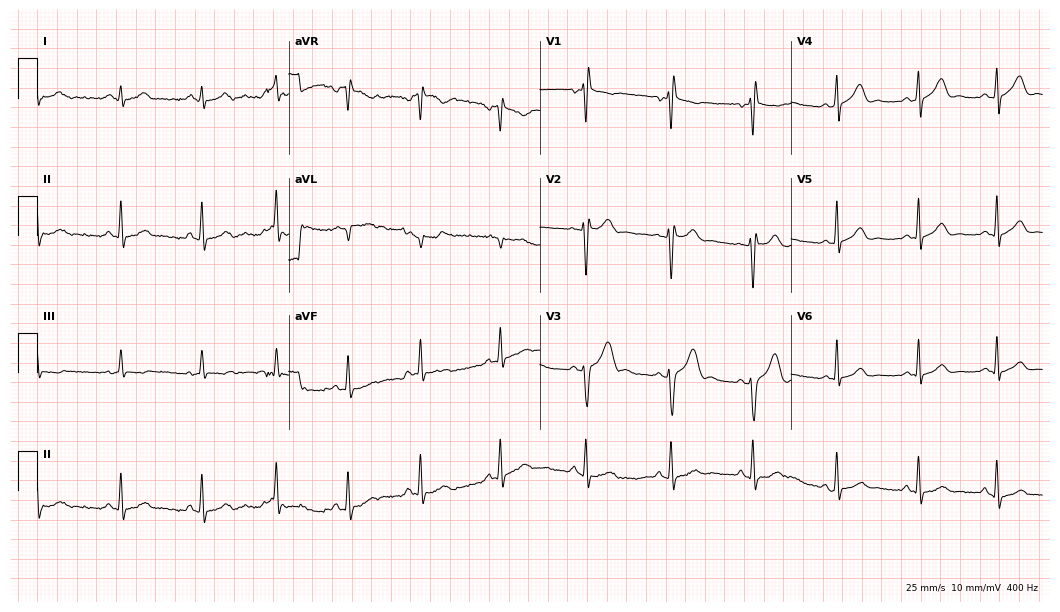
12-lead ECG from a male patient, 31 years old (10.2-second recording at 400 Hz). Recorded interpretation: within normal limits.